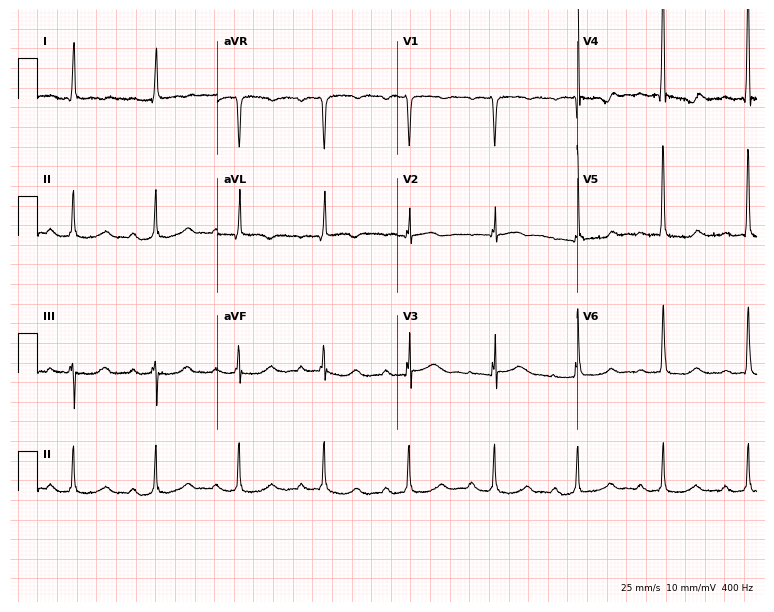
Electrocardiogram (7.3-second recording at 400 Hz), a woman, 83 years old. Interpretation includes first-degree AV block.